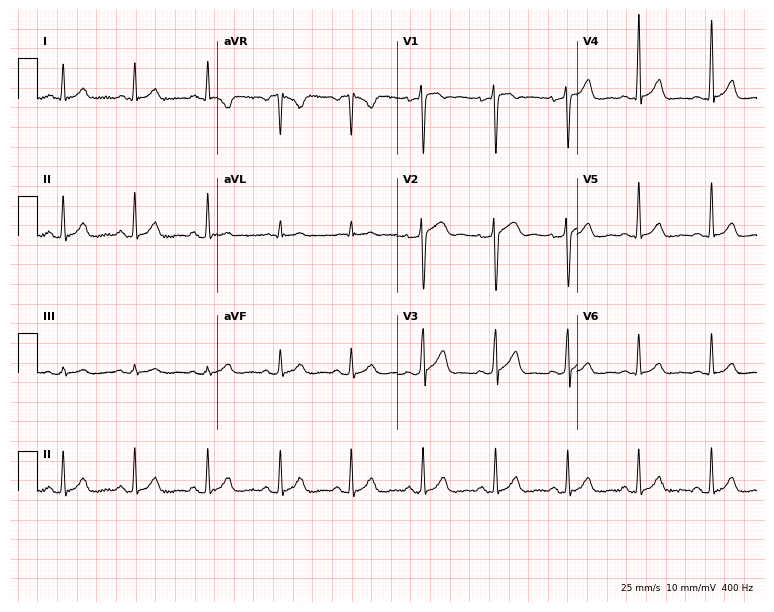
Resting 12-lead electrocardiogram. Patient: a male, 41 years old. Read as a normal ECG.